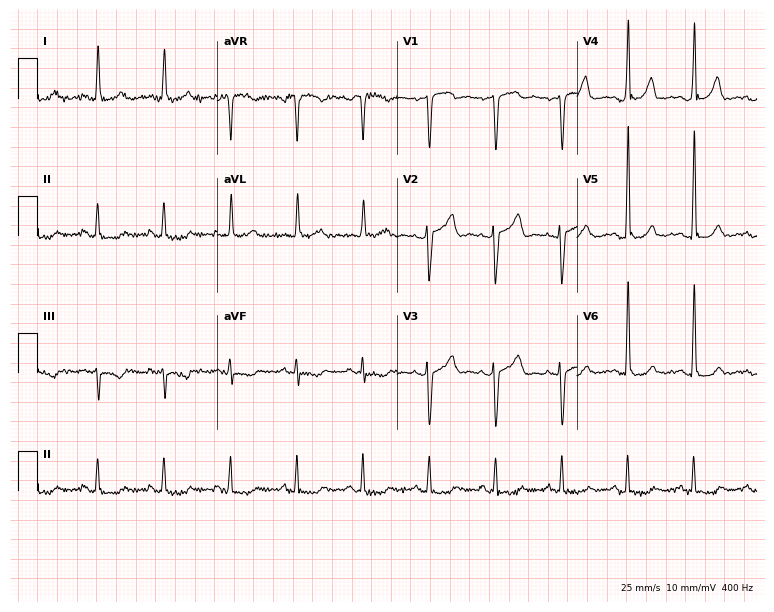
Resting 12-lead electrocardiogram. Patient: a 69-year-old male. None of these six findings is recorded: first-degree AV block, right bundle branch block, left bundle branch block, sinus bradycardia, atrial fibrillation, sinus tachycardia.